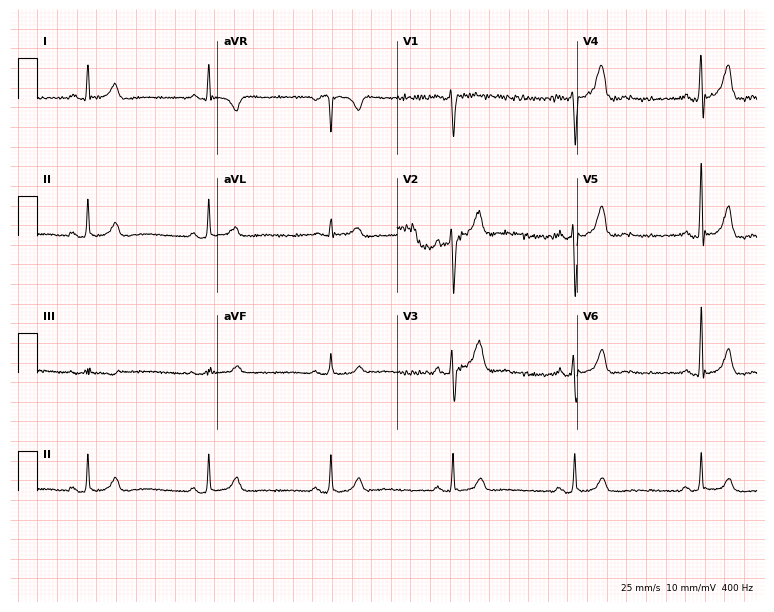
Electrocardiogram (7.3-second recording at 400 Hz), a male patient, 56 years old. Of the six screened findings (first-degree AV block, right bundle branch block, left bundle branch block, sinus bradycardia, atrial fibrillation, sinus tachycardia), none is recorded.